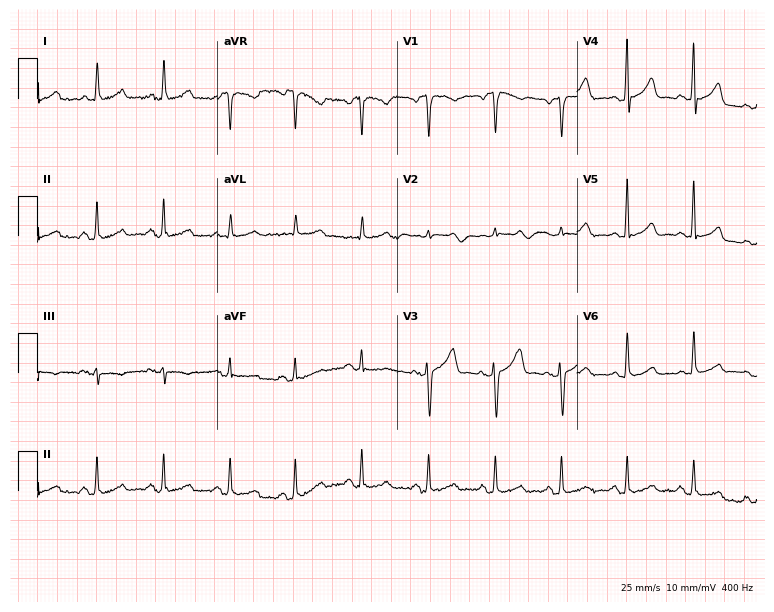
Electrocardiogram (7.3-second recording at 400 Hz), a female patient, 48 years old. Overall reading on record: normal ECG.